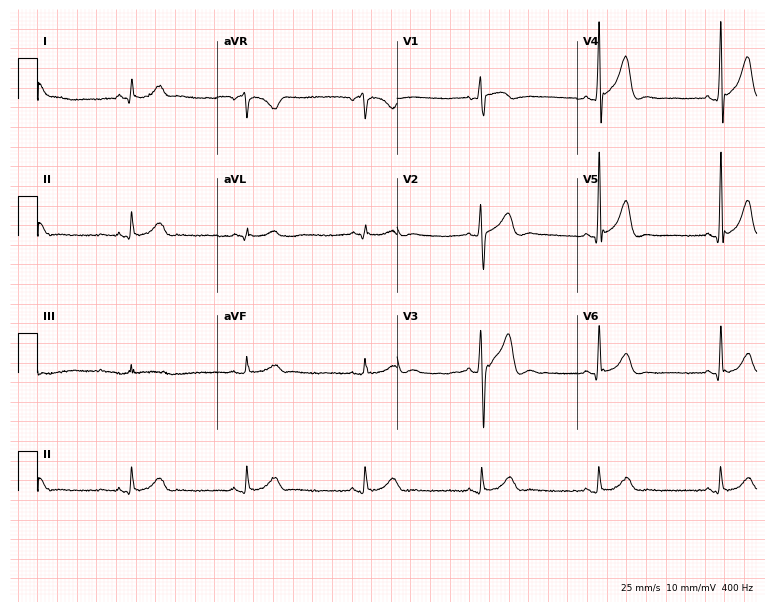
Electrocardiogram (7.3-second recording at 400 Hz), a man, 56 years old. Of the six screened findings (first-degree AV block, right bundle branch block (RBBB), left bundle branch block (LBBB), sinus bradycardia, atrial fibrillation (AF), sinus tachycardia), none is recorded. Only these six findings were labelled.